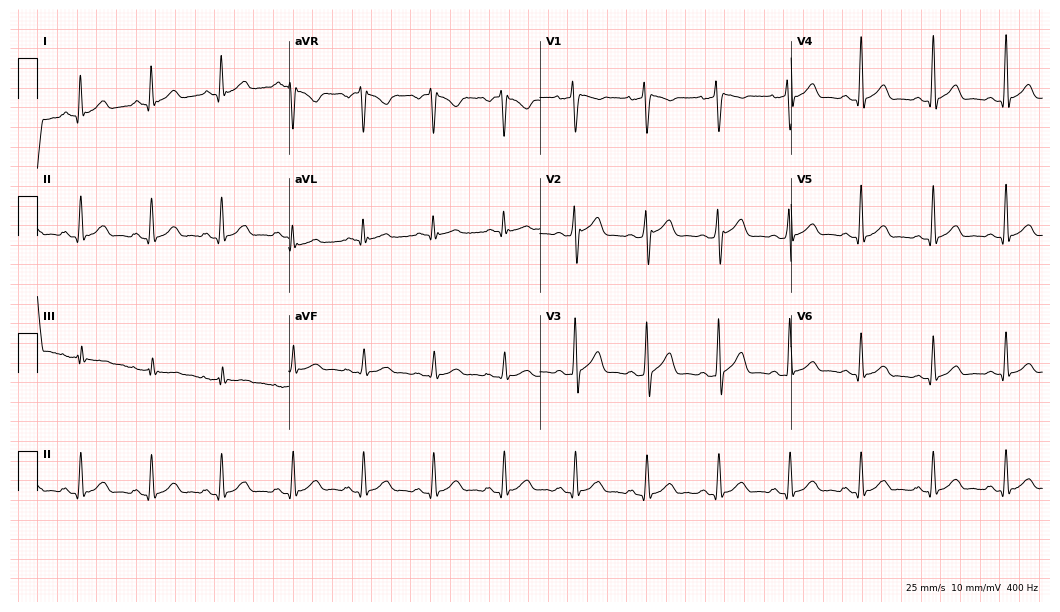
12-lead ECG from a 56-year-old male. Labelled as a normal ECG.